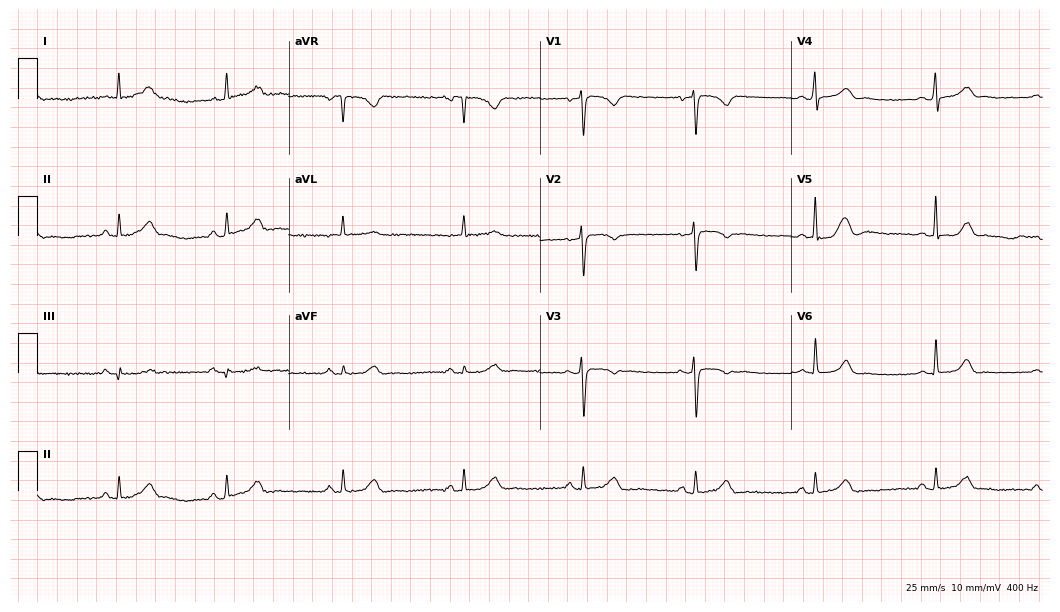
ECG (10.2-second recording at 400 Hz) — a female patient, 23 years old. Labelled as a normal ECG.